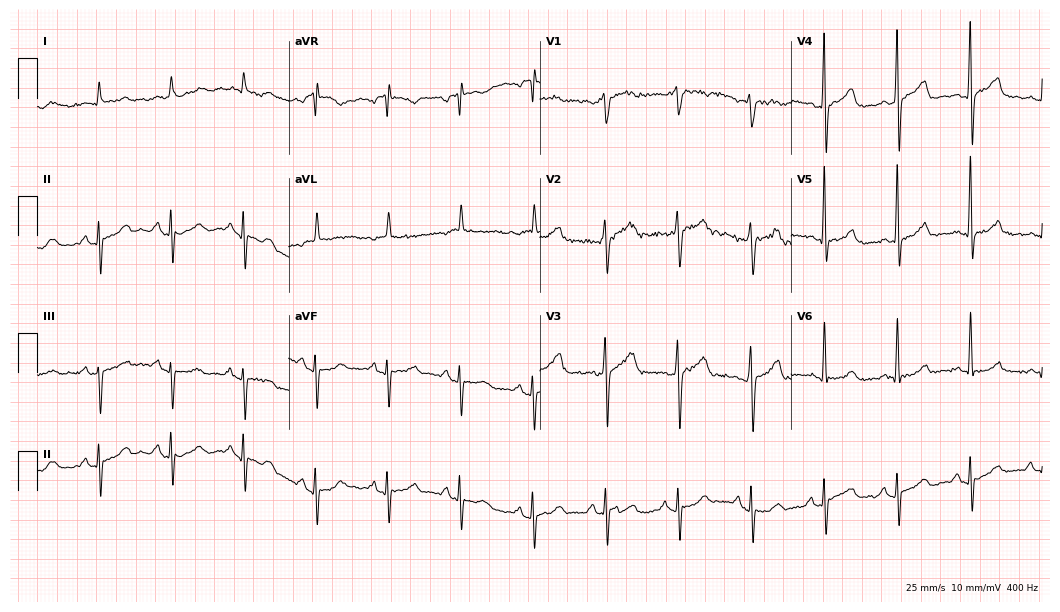
Resting 12-lead electrocardiogram (10.2-second recording at 400 Hz). Patient: an 85-year-old man. None of these six findings is recorded: first-degree AV block, right bundle branch block, left bundle branch block, sinus bradycardia, atrial fibrillation, sinus tachycardia. Findings outside these six are not listed.